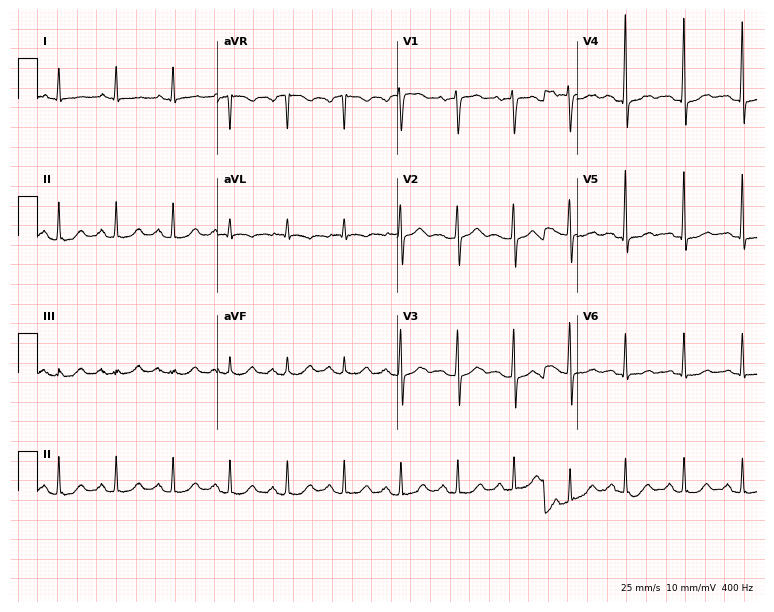
Resting 12-lead electrocardiogram (7.3-second recording at 400 Hz). Patient: a 63-year-old female. The tracing shows sinus tachycardia (a sinus rate of 100 beats per minute or more).